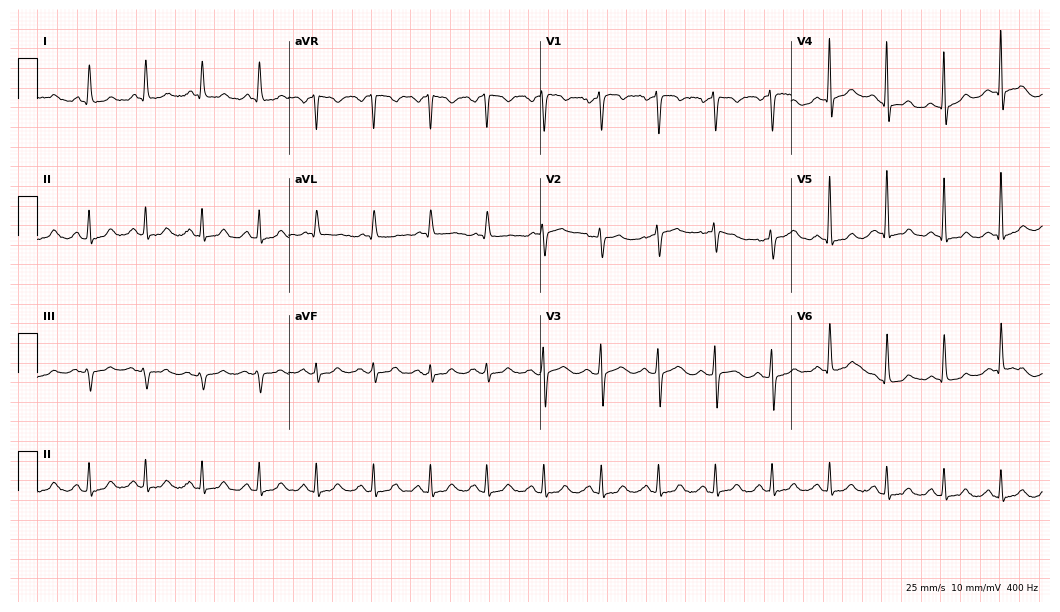
12-lead ECG (10.2-second recording at 400 Hz) from a 46-year-old female patient. Findings include sinus tachycardia (a sinus rate of 100 beats per minute or more).